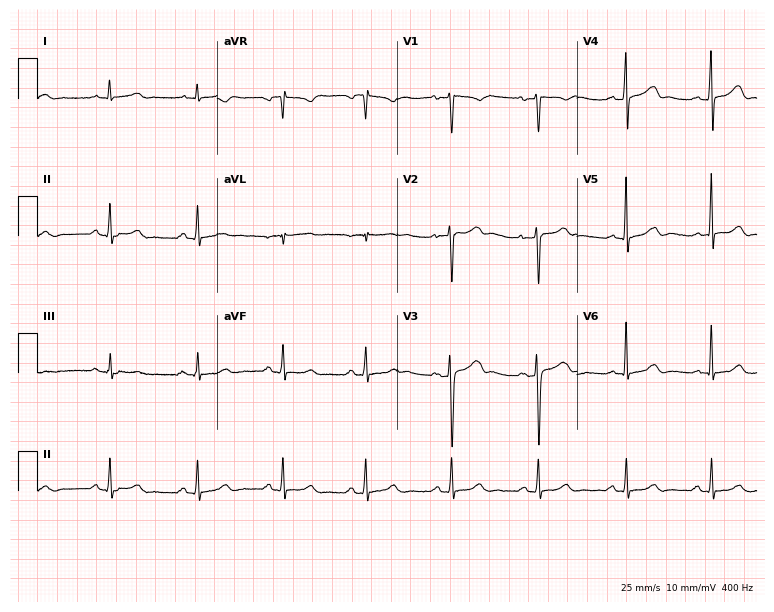
12-lead ECG from a woman, 44 years old. Labelled as a normal ECG.